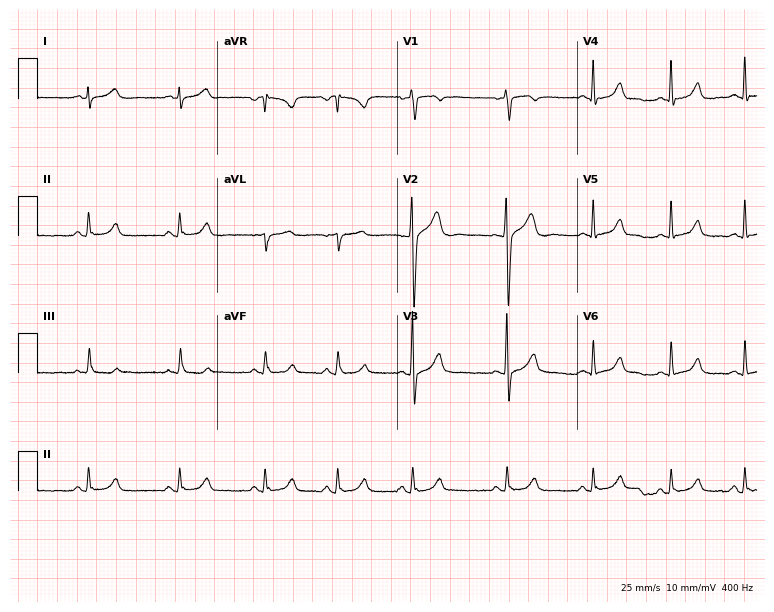
12-lead ECG (7.3-second recording at 400 Hz) from a 24-year-old male patient. Labelled as a normal ECG.